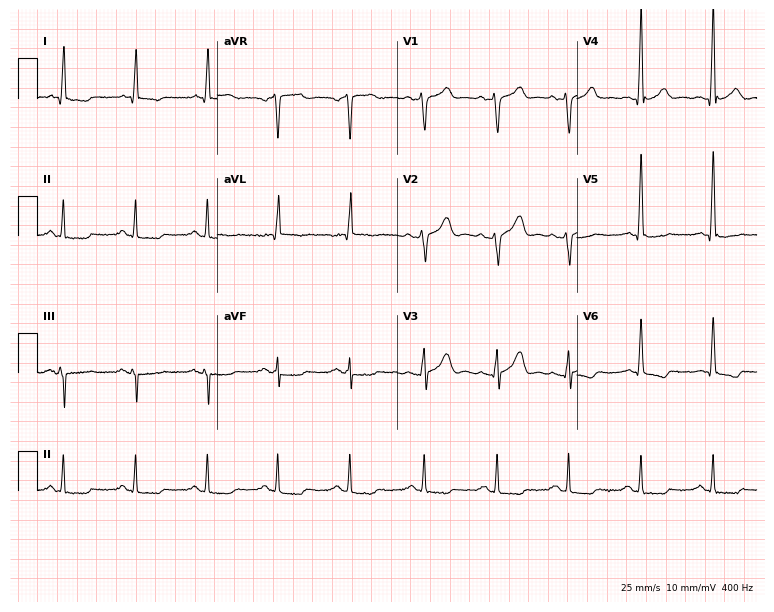
12-lead ECG from a 58-year-old male patient (7.3-second recording at 400 Hz). No first-degree AV block, right bundle branch block (RBBB), left bundle branch block (LBBB), sinus bradycardia, atrial fibrillation (AF) or sinus tachycardia recorded for this tracing. Other findings, if any, are not listed.